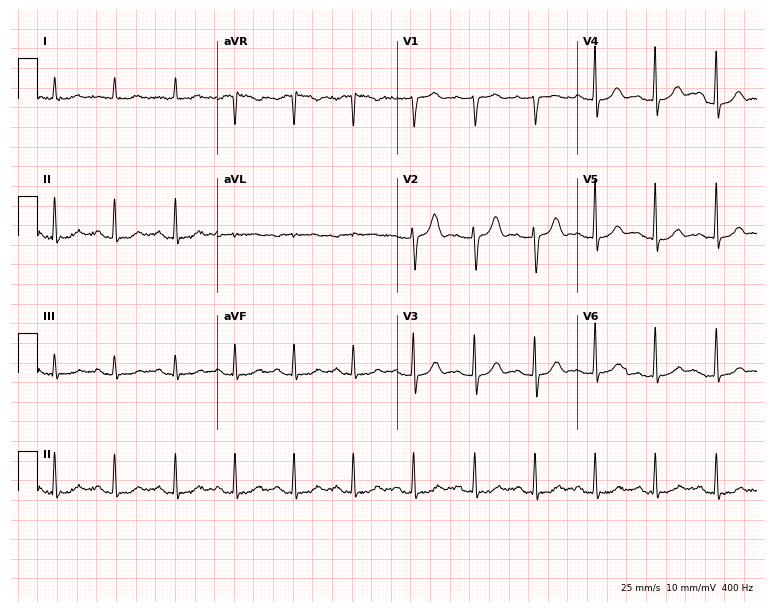
Resting 12-lead electrocardiogram (7.3-second recording at 400 Hz). Patient: an 81-year-old female. None of these six findings is recorded: first-degree AV block, right bundle branch block, left bundle branch block, sinus bradycardia, atrial fibrillation, sinus tachycardia.